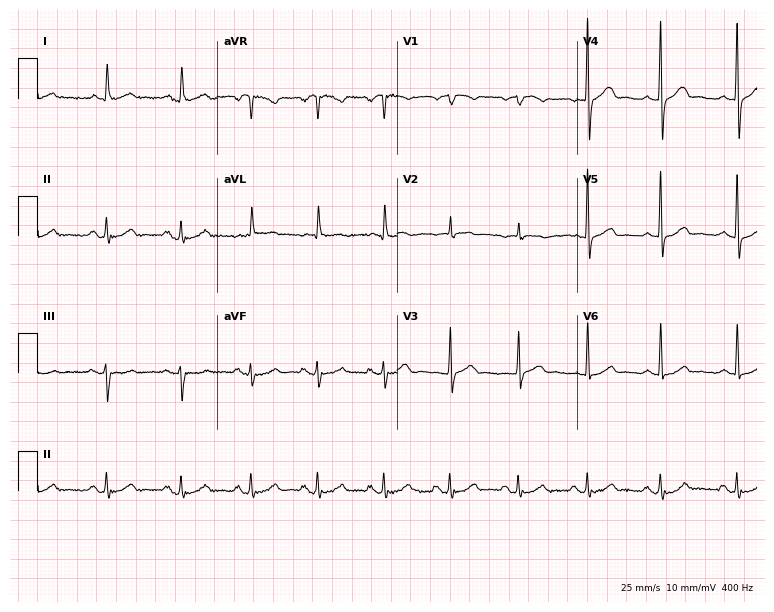
ECG (7.3-second recording at 400 Hz) — a man, 61 years old. Labelled as a normal ECG.